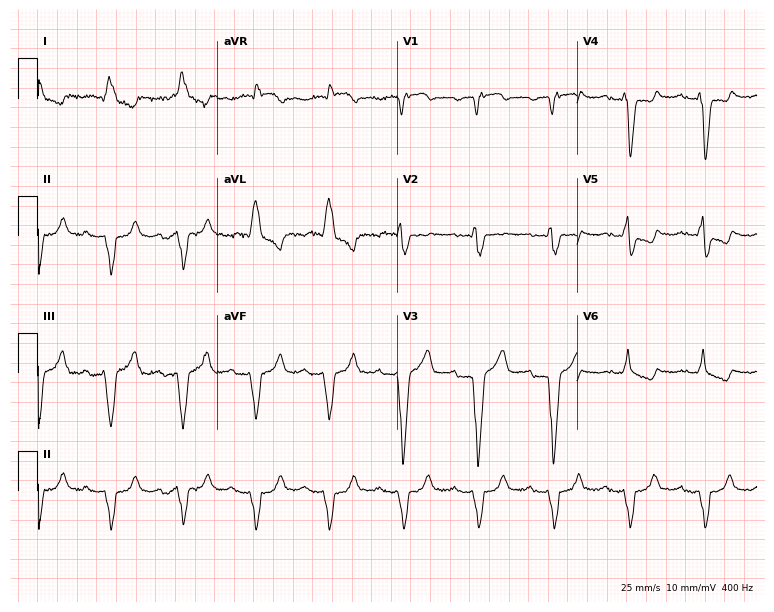
12-lead ECG from a man, 72 years old. Shows left bundle branch block.